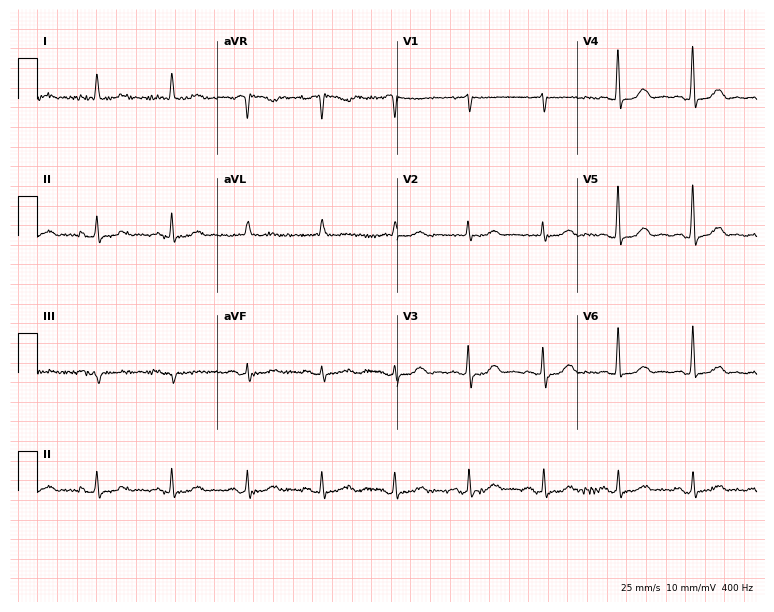
12-lead ECG from an 81-year-old female patient. Screened for six findings — first-degree AV block, right bundle branch block, left bundle branch block, sinus bradycardia, atrial fibrillation, sinus tachycardia — none is recorded.